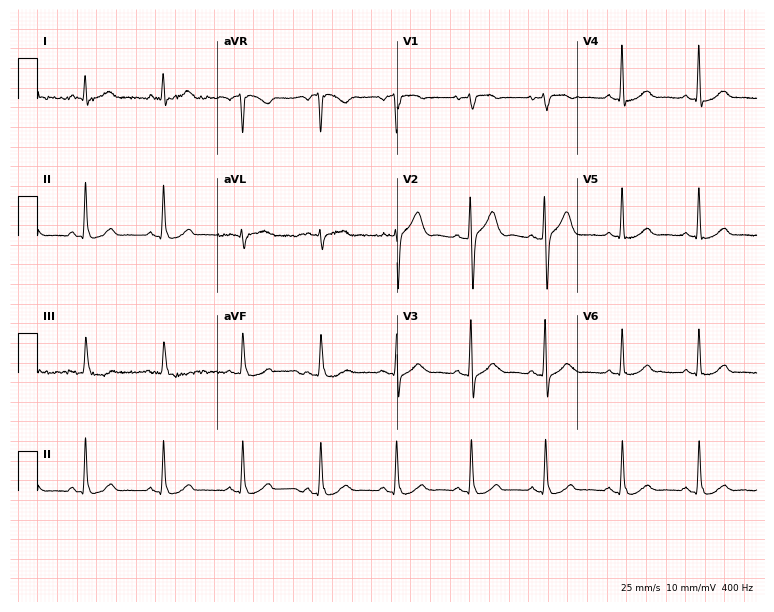
12-lead ECG from a male patient, 80 years old. Recorded interpretation: within normal limits.